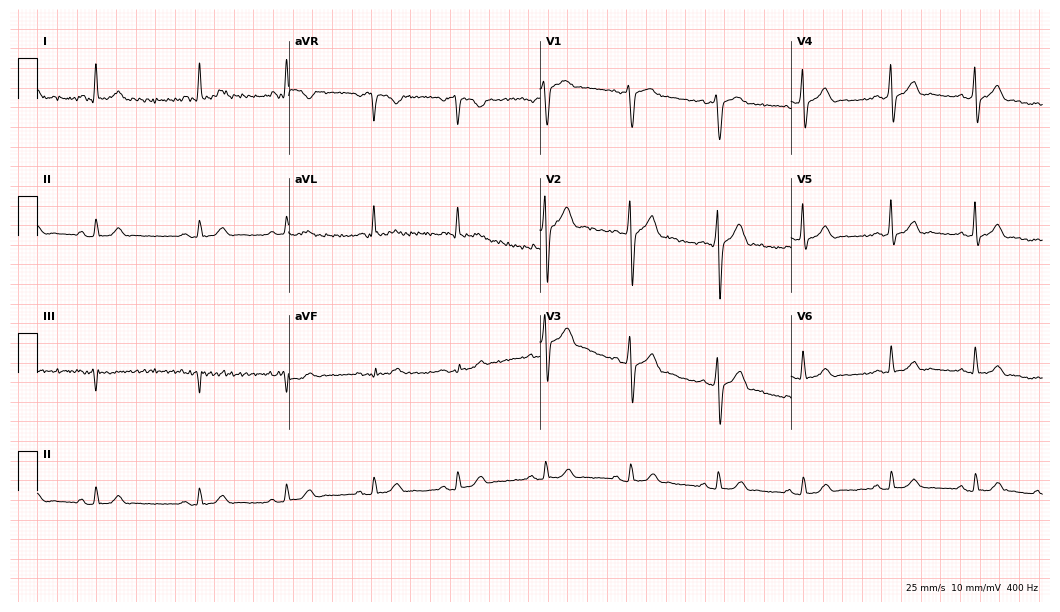
12-lead ECG from a male, 39 years old (10.2-second recording at 400 Hz). Recorded interpretation: within normal limits.